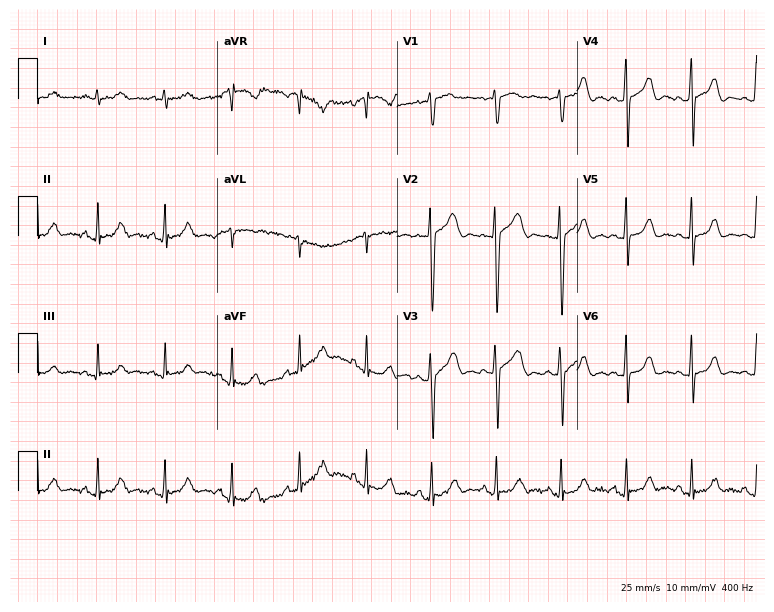
Electrocardiogram (7.3-second recording at 400 Hz), a woman, 35 years old. Overall reading on record: normal ECG.